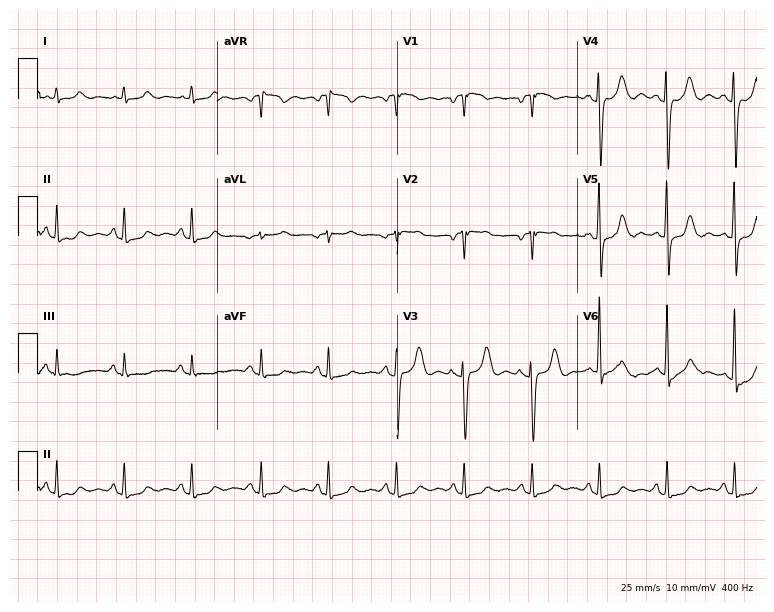
12-lead ECG from a 64-year-old woman (7.3-second recording at 400 Hz). No first-degree AV block, right bundle branch block, left bundle branch block, sinus bradycardia, atrial fibrillation or sinus tachycardia recorded for this tracing.